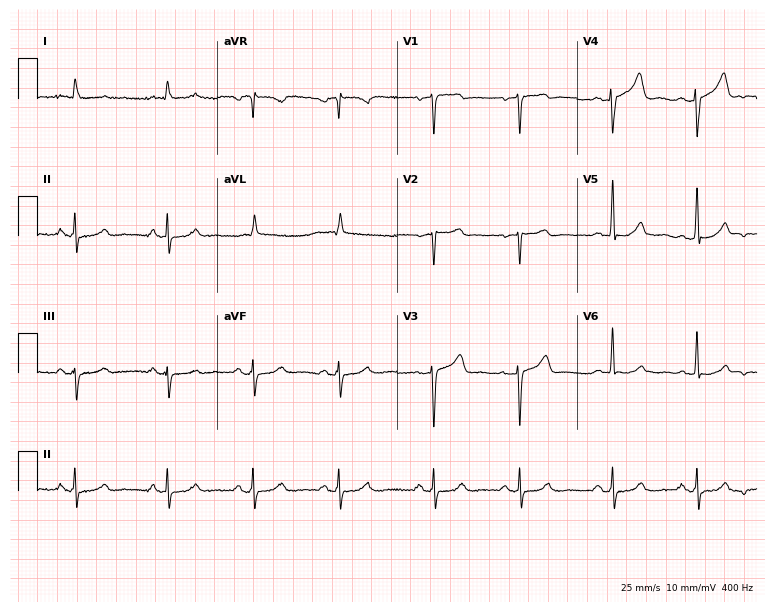
Standard 12-lead ECG recorded from a man, 64 years old. Read as a normal ECG.